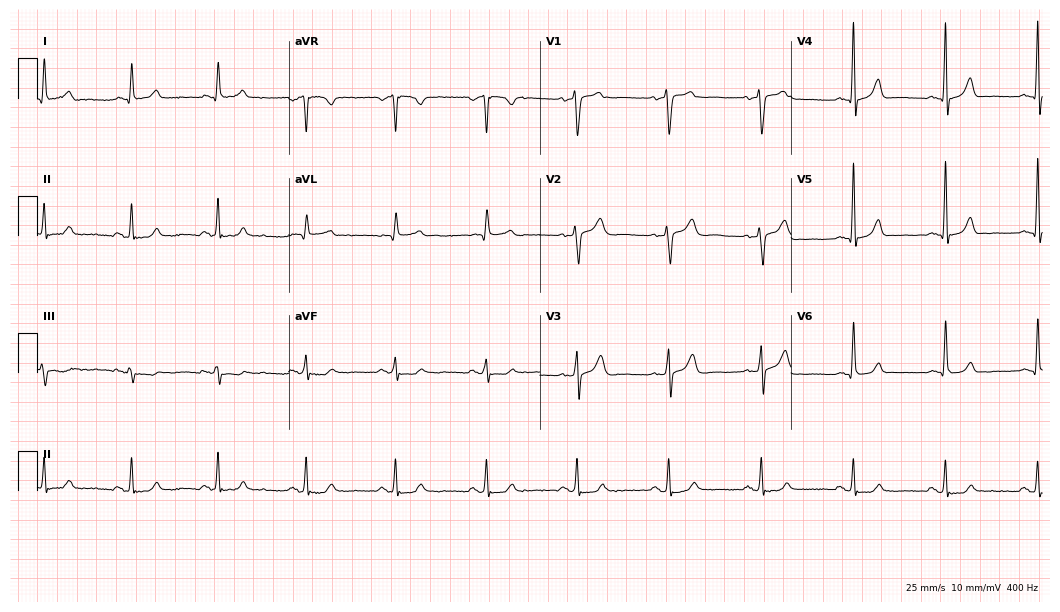
Resting 12-lead electrocardiogram (10.2-second recording at 400 Hz). Patient: a 56-year-old female. None of these six findings is recorded: first-degree AV block, right bundle branch block, left bundle branch block, sinus bradycardia, atrial fibrillation, sinus tachycardia.